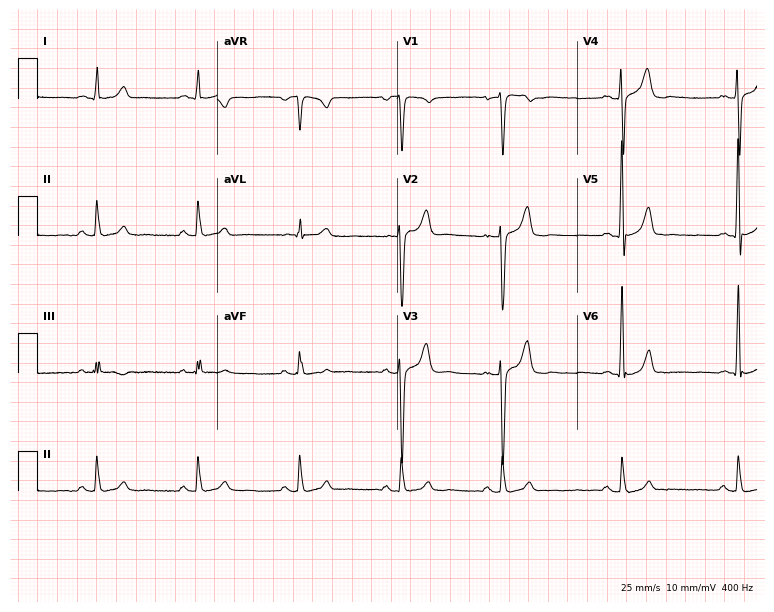
Standard 12-lead ECG recorded from a man, 51 years old. Read as a normal ECG.